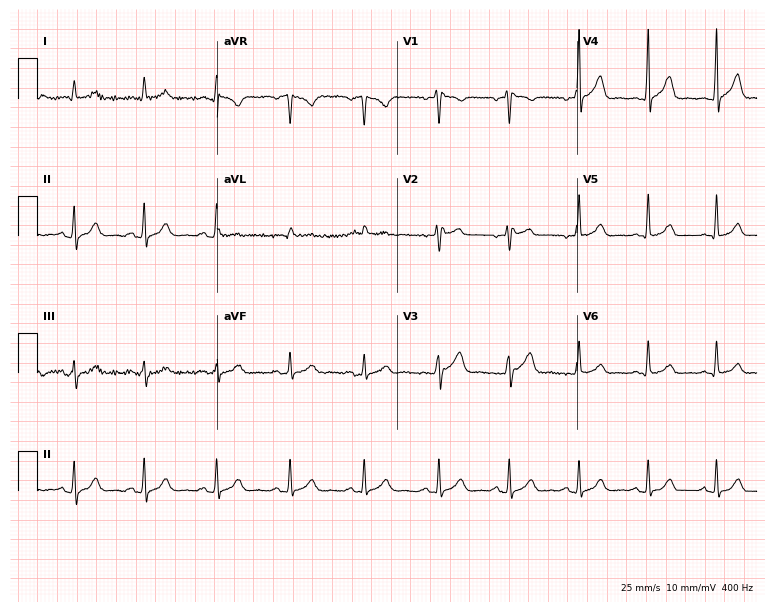
12-lead ECG from a 48-year-old male. Screened for six findings — first-degree AV block, right bundle branch block, left bundle branch block, sinus bradycardia, atrial fibrillation, sinus tachycardia — none is recorded. Other findings, if any, are not listed.